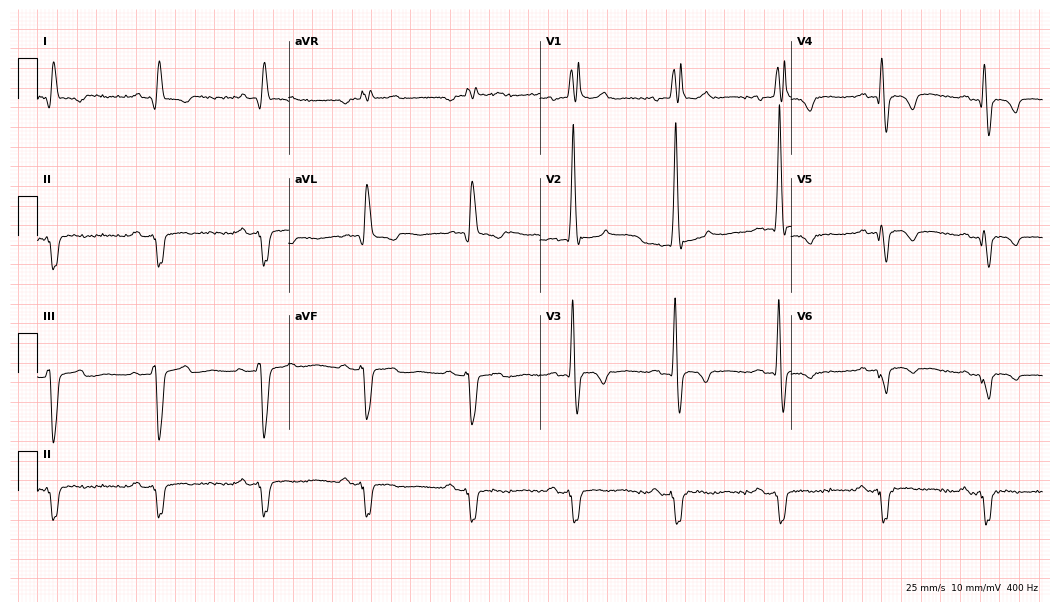
Electrocardiogram, a 79-year-old man. Interpretation includes right bundle branch block.